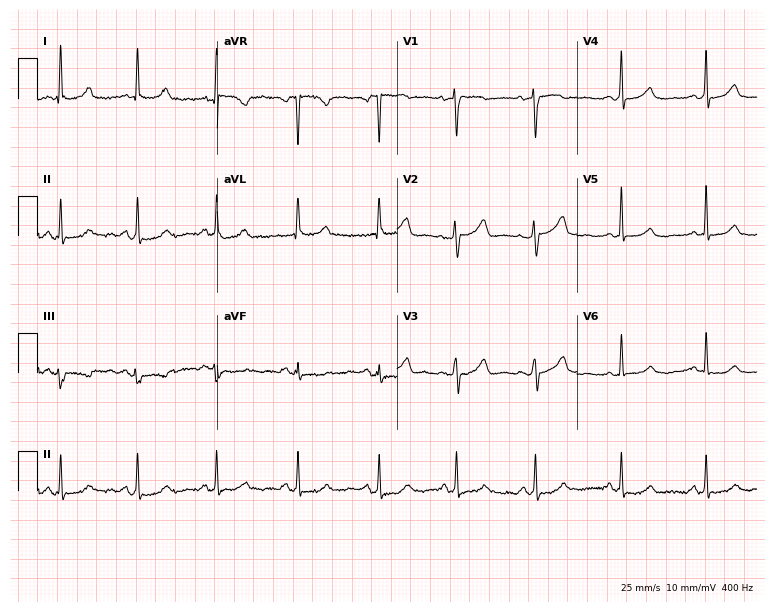
12-lead ECG (7.3-second recording at 400 Hz) from a 47-year-old female patient. Labelled as a normal ECG.